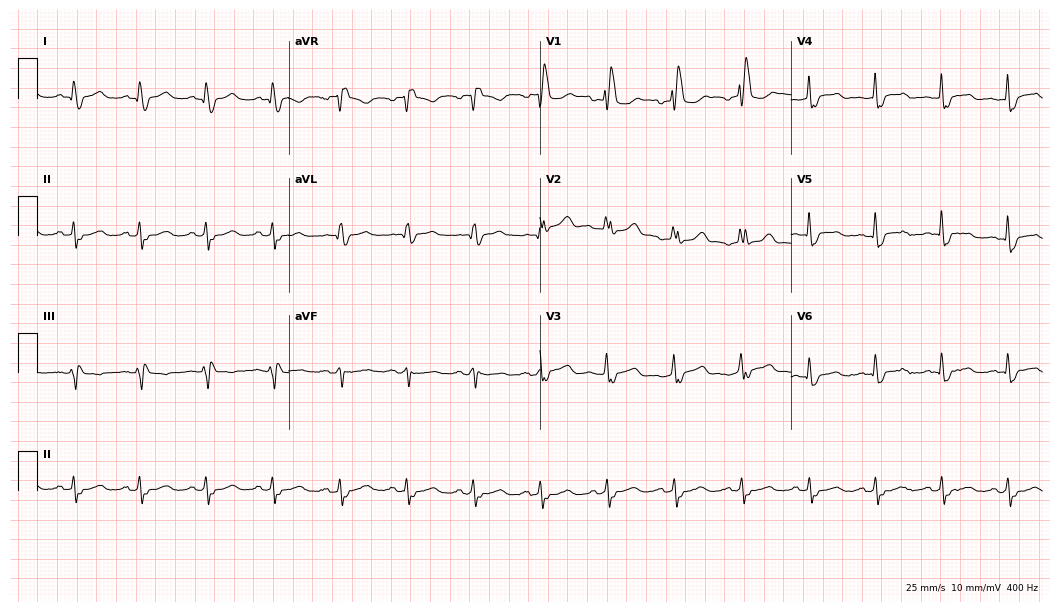
Standard 12-lead ECG recorded from a 69-year-old man. The tracing shows right bundle branch block.